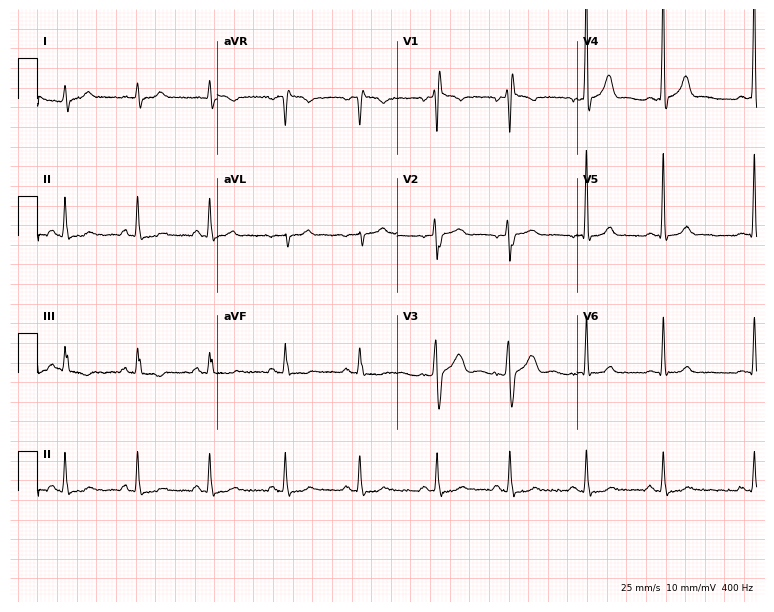
12-lead ECG from a 40-year-old man. Screened for six findings — first-degree AV block, right bundle branch block, left bundle branch block, sinus bradycardia, atrial fibrillation, sinus tachycardia — none is recorded. Findings outside these six are not listed.